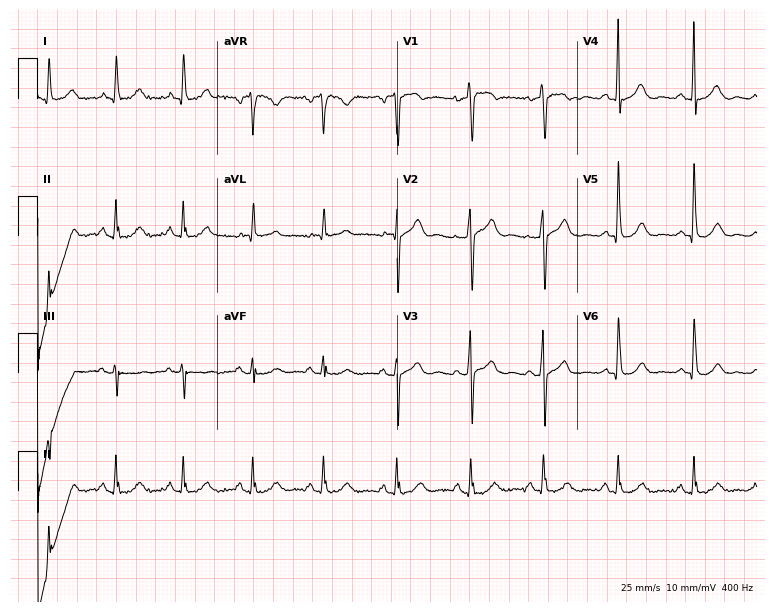
Electrocardiogram, a male, 72 years old. Overall reading on record: normal ECG.